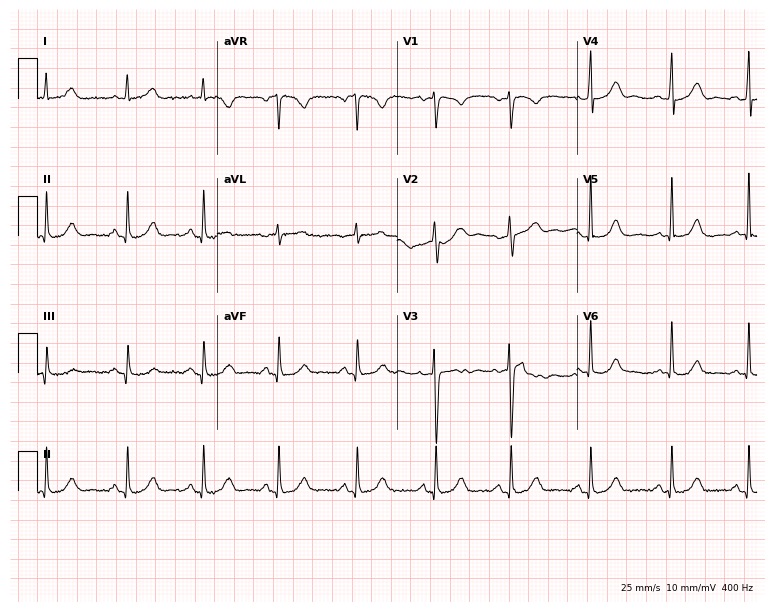
12-lead ECG from a female, 41 years old. Screened for six findings — first-degree AV block, right bundle branch block, left bundle branch block, sinus bradycardia, atrial fibrillation, sinus tachycardia — none is recorded. Findings outside these six are not listed.